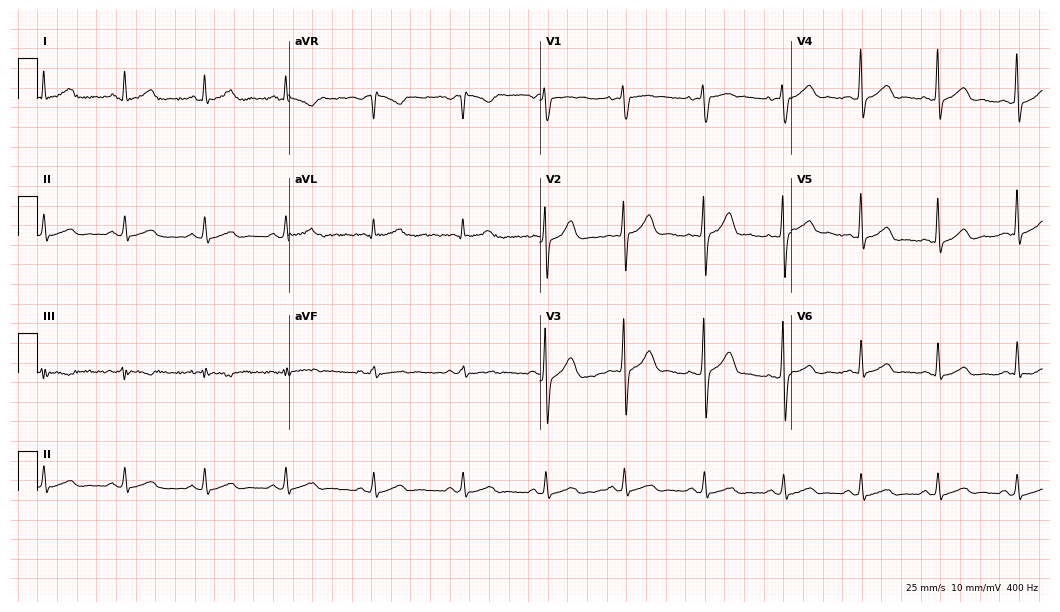
Standard 12-lead ECG recorded from a male, 28 years old (10.2-second recording at 400 Hz). Read as a normal ECG.